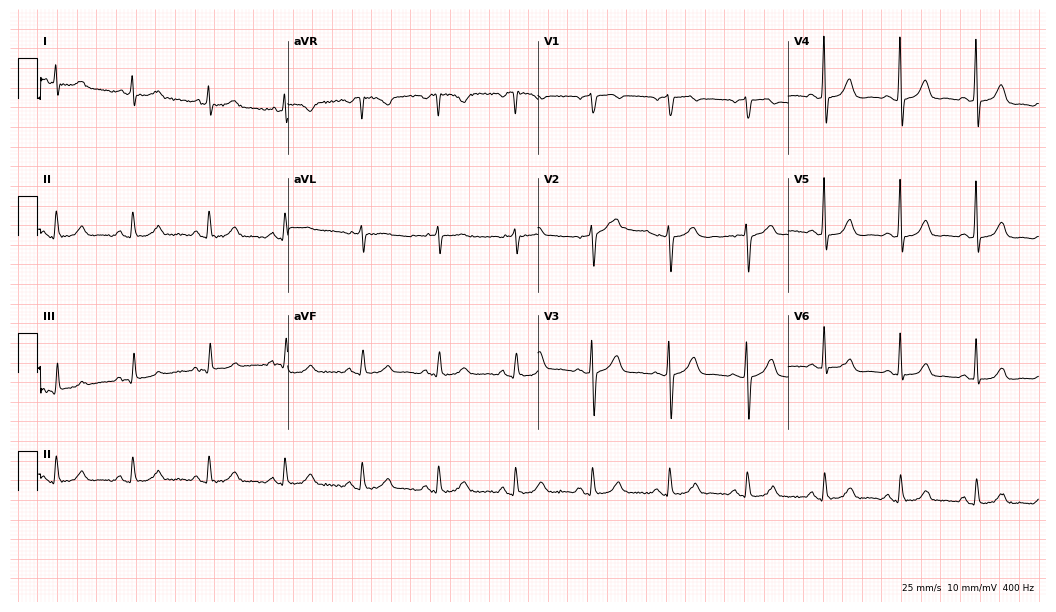
ECG (10.2-second recording at 400 Hz) — a 75-year-old woman. Labelled as a normal ECG.